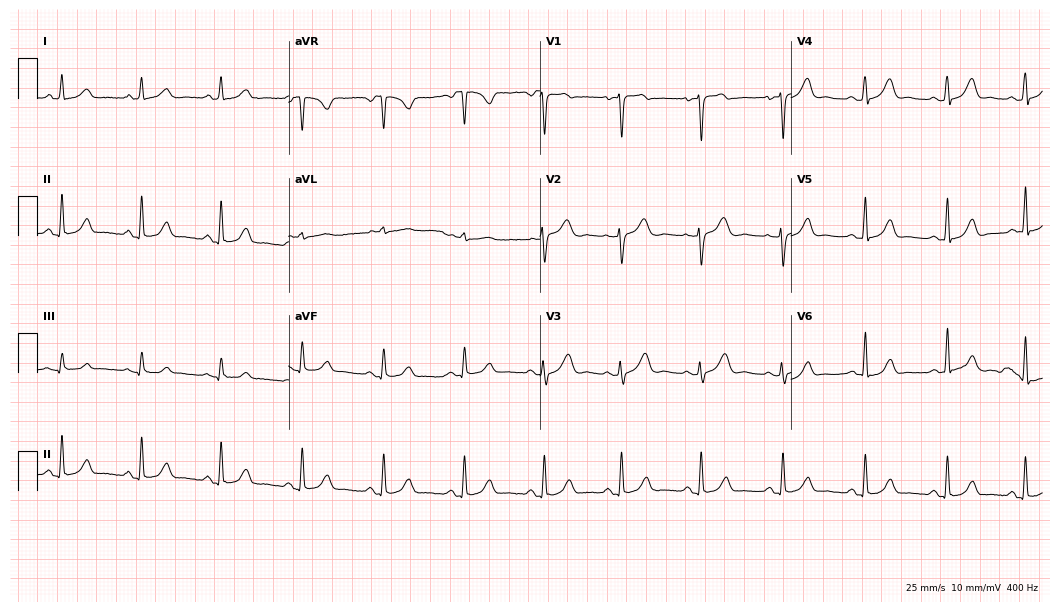
ECG (10.2-second recording at 400 Hz) — a female, 46 years old. Labelled as a normal ECG.